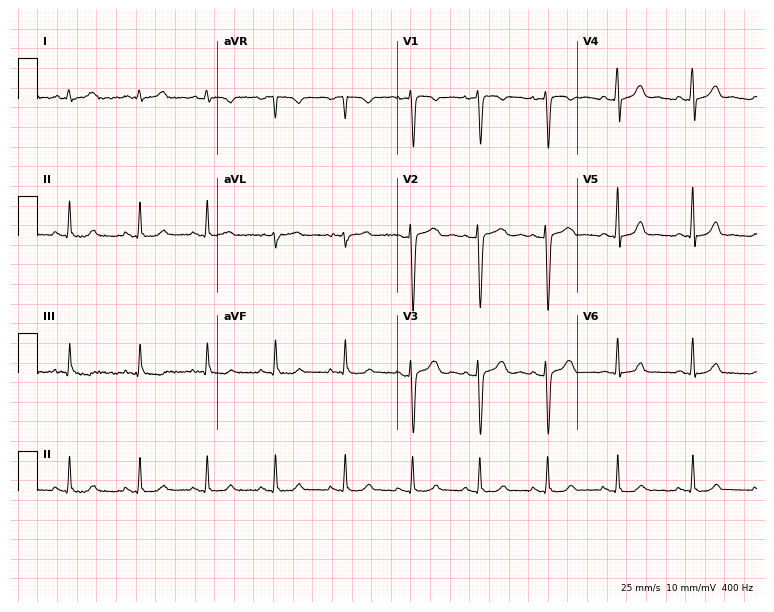
ECG — a woman, 19 years old. Labelled as a normal ECG.